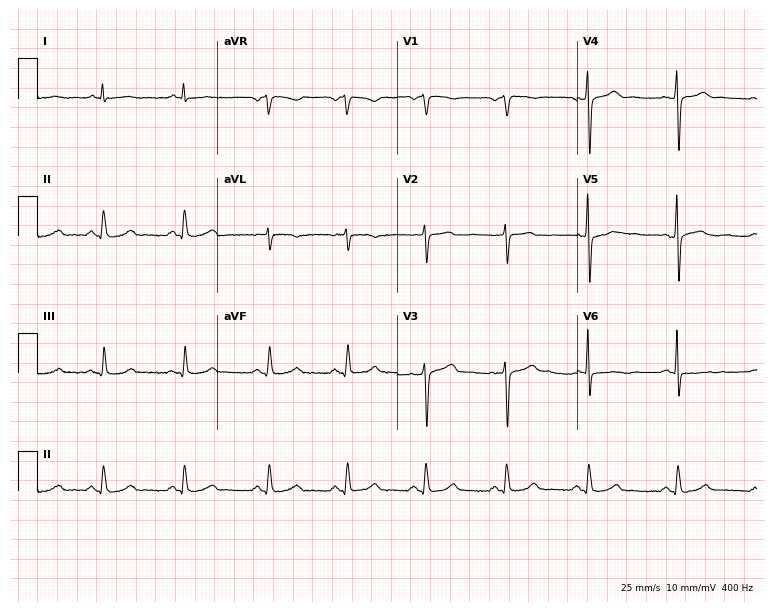
ECG — a 70-year-old male. Labelled as a normal ECG.